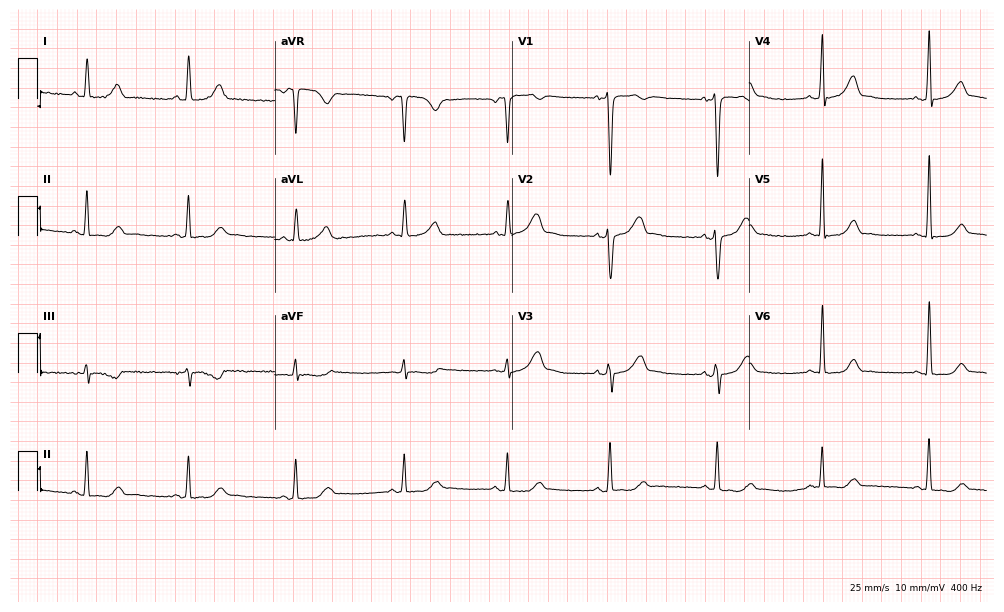
Electrocardiogram (9.7-second recording at 400 Hz), a female patient, 37 years old. Of the six screened findings (first-degree AV block, right bundle branch block, left bundle branch block, sinus bradycardia, atrial fibrillation, sinus tachycardia), none is recorded. Other findings, if any, are not listed.